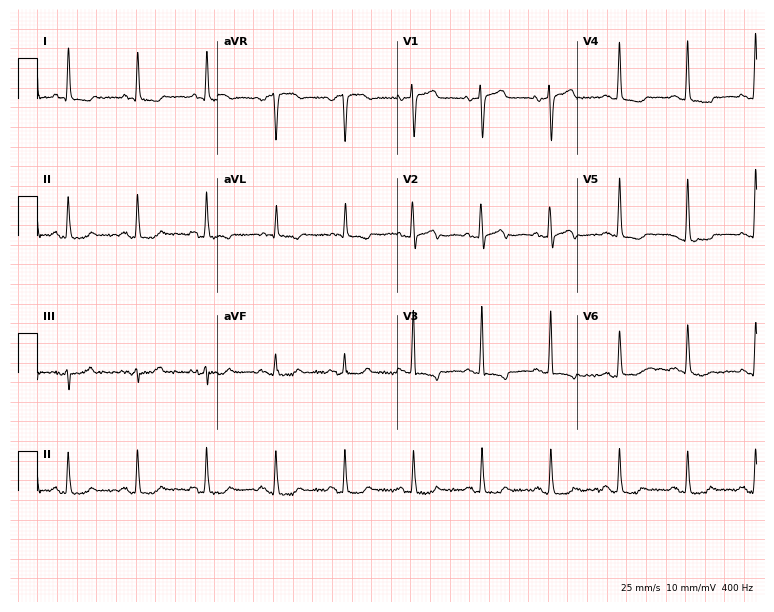
12-lead ECG from a 76-year-old woman (7.3-second recording at 400 Hz). No first-degree AV block, right bundle branch block, left bundle branch block, sinus bradycardia, atrial fibrillation or sinus tachycardia recorded for this tracing. Findings outside these six are not listed.